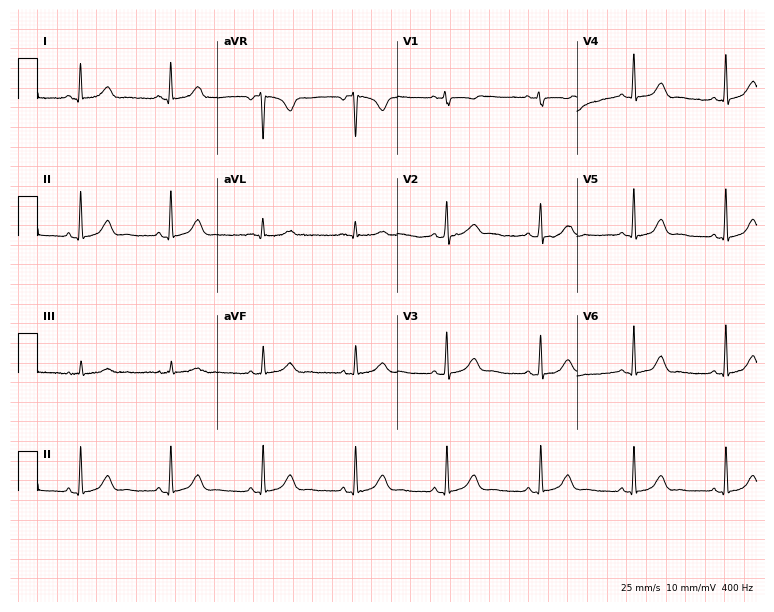
12-lead ECG from a 47-year-old woman. Labelled as a normal ECG.